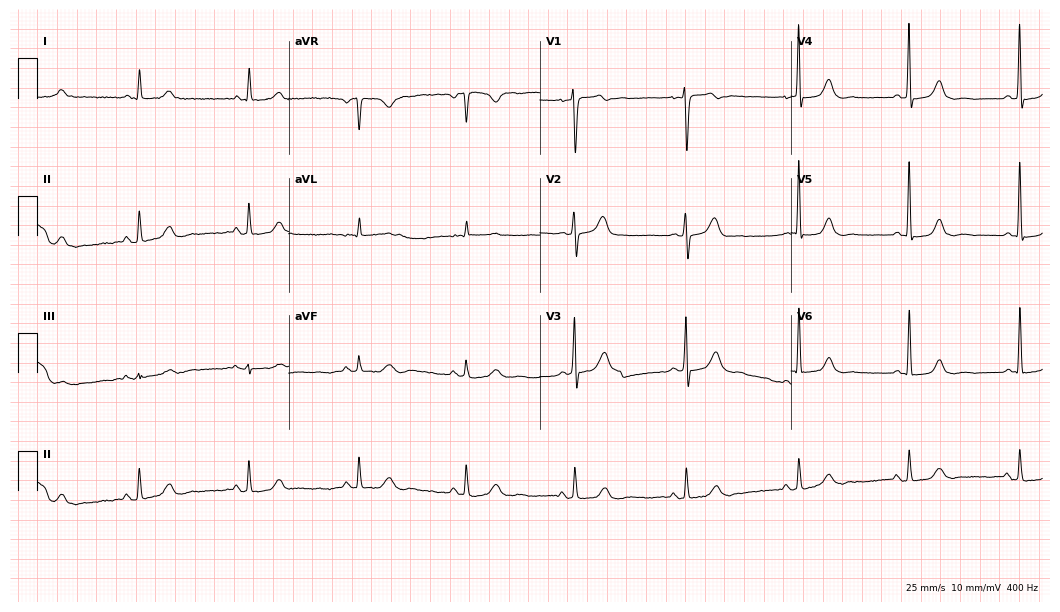
Electrocardiogram (10.2-second recording at 400 Hz), a female, 71 years old. Overall reading on record: normal ECG.